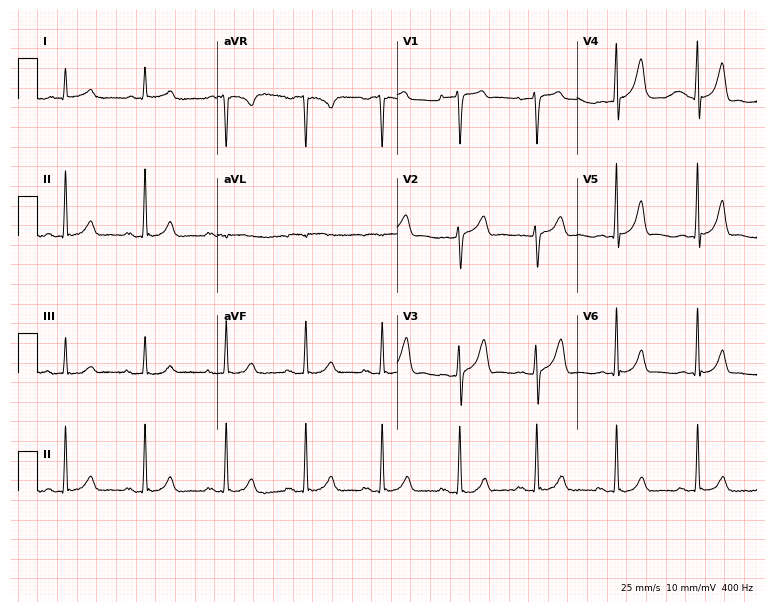
12-lead ECG (7.3-second recording at 400 Hz) from a male patient, 53 years old. Screened for six findings — first-degree AV block, right bundle branch block, left bundle branch block, sinus bradycardia, atrial fibrillation, sinus tachycardia — none is recorded. Only these six findings were labelled.